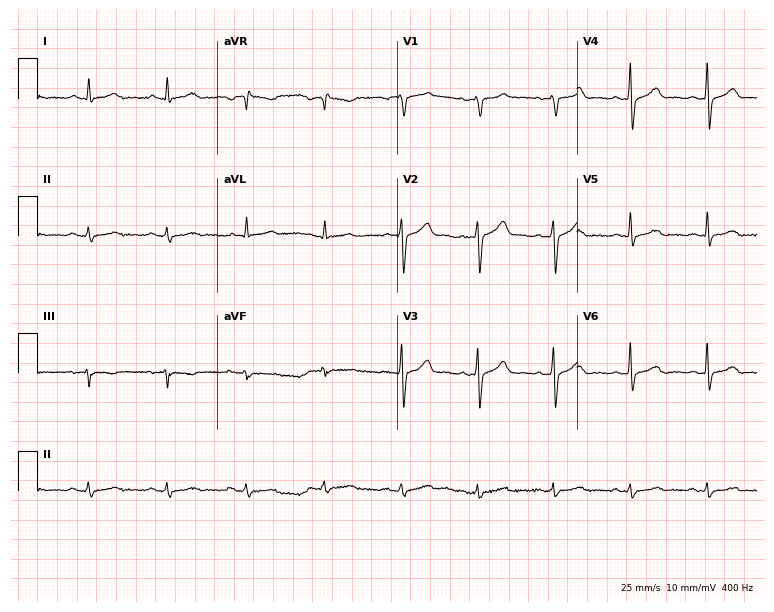
12-lead ECG (7.3-second recording at 400 Hz) from a male, 62 years old. Labelled as a normal ECG.